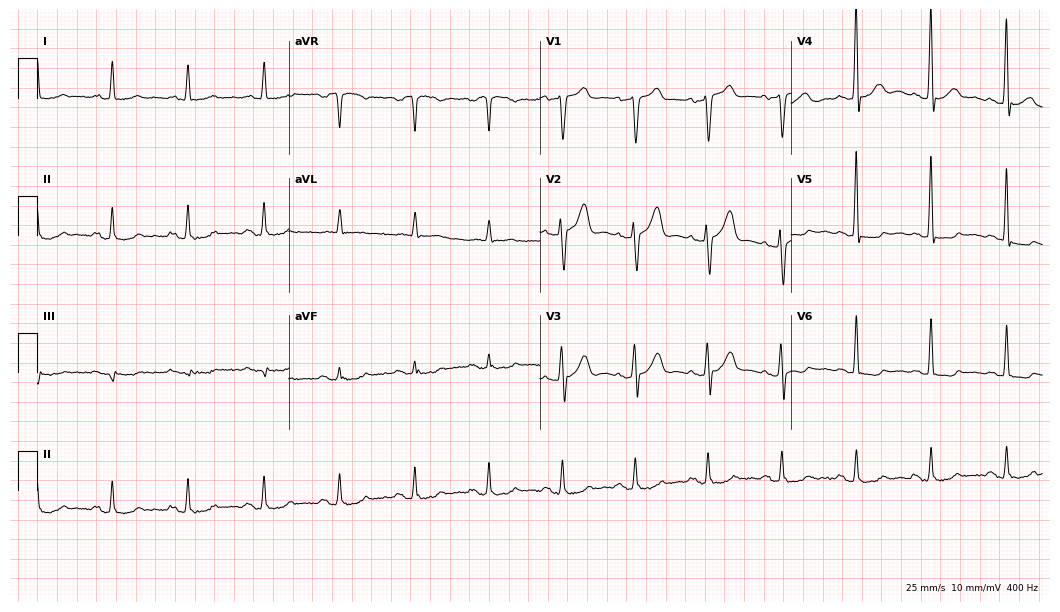
12-lead ECG from a 61-year-old man. No first-degree AV block, right bundle branch block, left bundle branch block, sinus bradycardia, atrial fibrillation or sinus tachycardia recorded for this tracing. Findings outside these six are not listed.